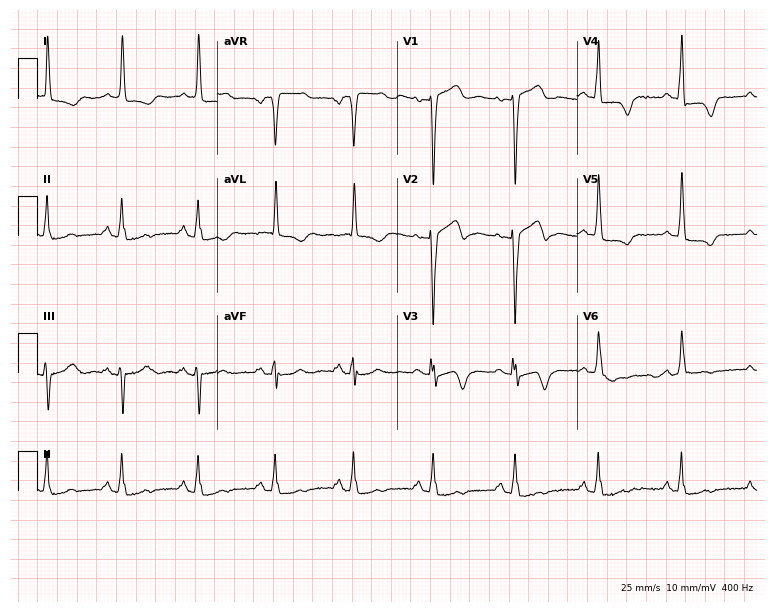
Electrocardiogram (7.3-second recording at 400 Hz), a woman, 83 years old. Of the six screened findings (first-degree AV block, right bundle branch block (RBBB), left bundle branch block (LBBB), sinus bradycardia, atrial fibrillation (AF), sinus tachycardia), none is recorded.